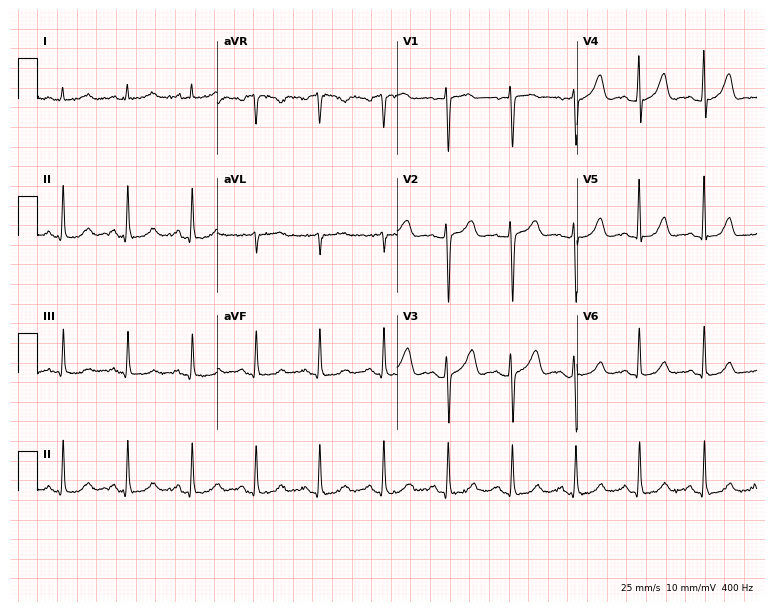
12-lead ECG (7.3-second recording at 400 Hz) from a 56-year-old woman. Screened for six findings — first-degree AV block, right bundle branch block (RBBB), left bundle branch block (LBBB), sinus bradycardia, atrial fibrillation (AF), sinus tachycardia — none is recorded.